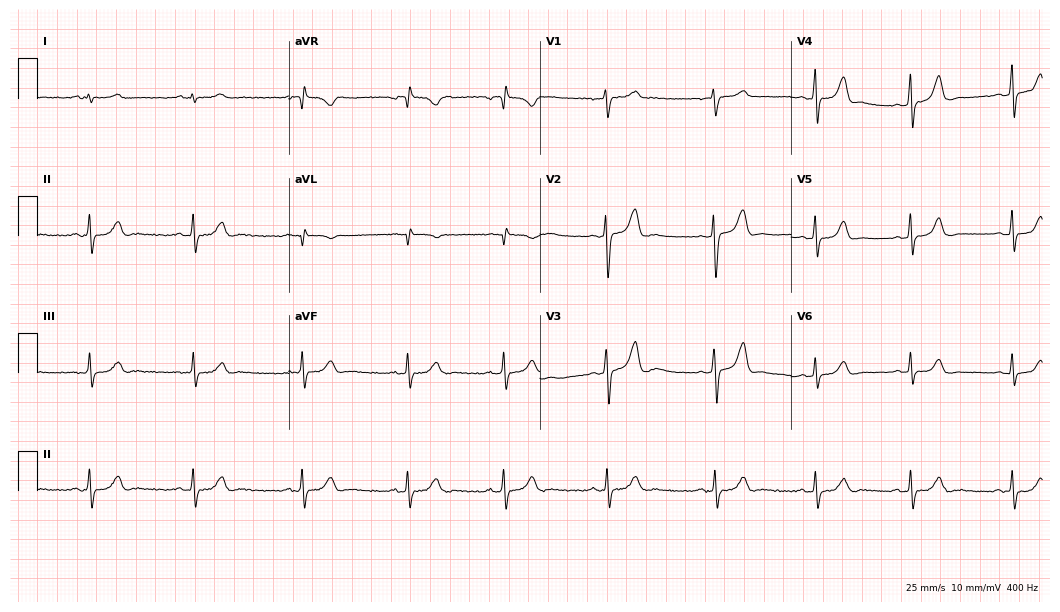
Electrocardiogram, a woman, 30 years old. Overall reading on record: normal ECG.